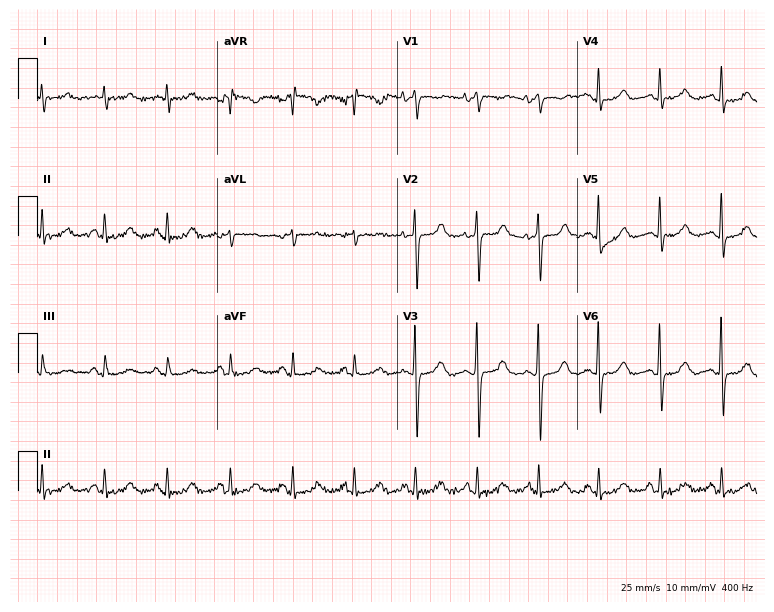
Standard 12-lead ECG recorded from a man, 70 years old (7.3-second recording at 400 Hz). Read as a normal ECG.